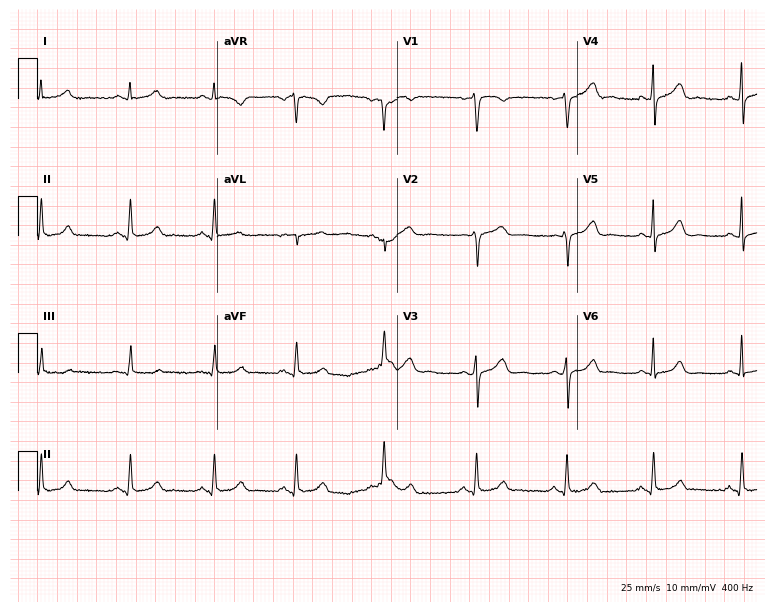
Standard 12-lead ECG recorded from a 34-year-old female (7.3-second recording at 400 Hz). None of these six findings is recorded: first-degree AV block, right bundle branch block, left bundle branch block, sinus bradycardia, atrial fibrillation, sinus tachycardia. Findings outside these six are not listed.